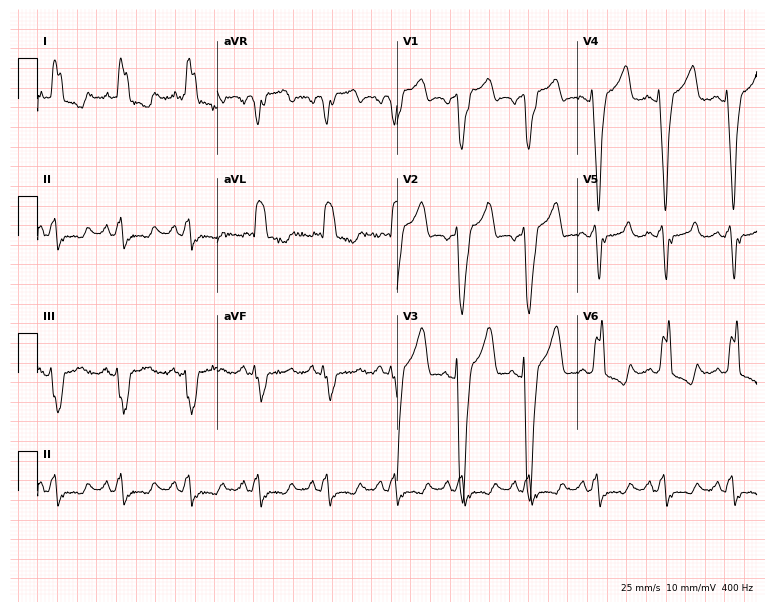
12-lead ECG from a female, 74 years old. Findings include left bundle branch block.